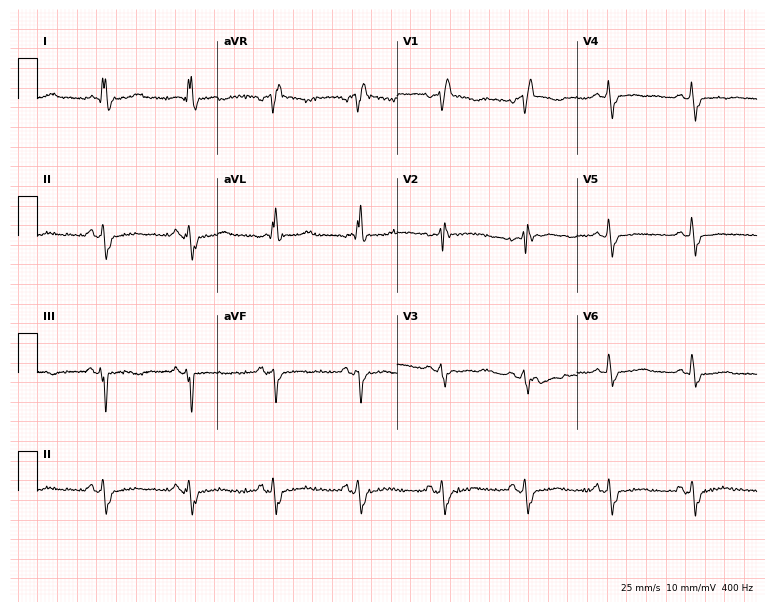
Resting 12-lead electrocardiogram. Patient: a female, 69 years old. The tracing shows right bundle branch block (RBBB).